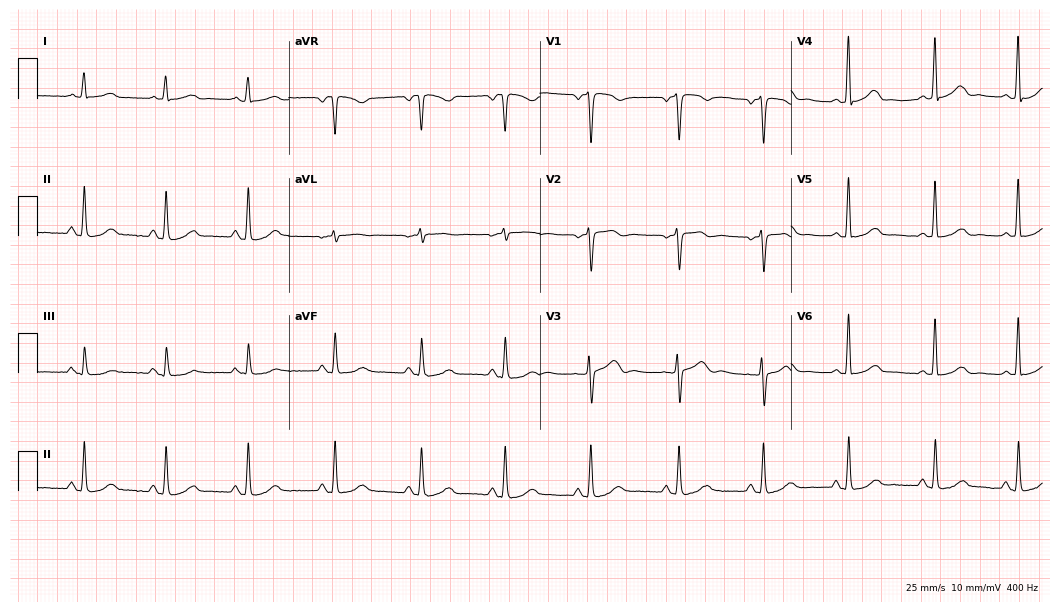
Standard 12-lead ECG recorded from a woman, 58 years old (10.2-second recording at 400 Hz). Read as a normal ECG.